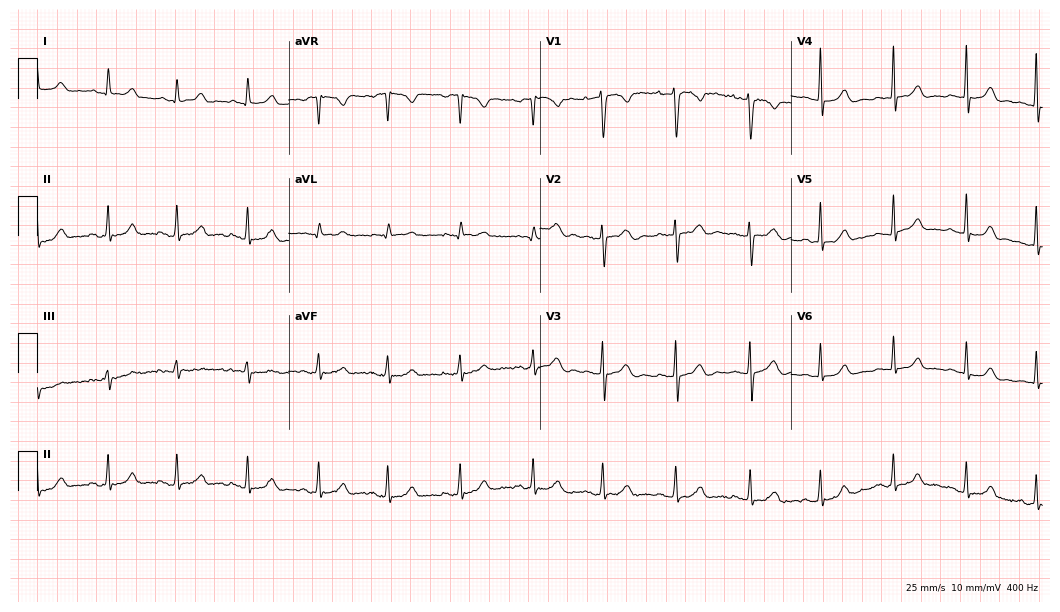
Electrocardiogram (10.2-second recording at 400 Hz), a 20-year-old female patient. Overall reading on record: normal ECG.